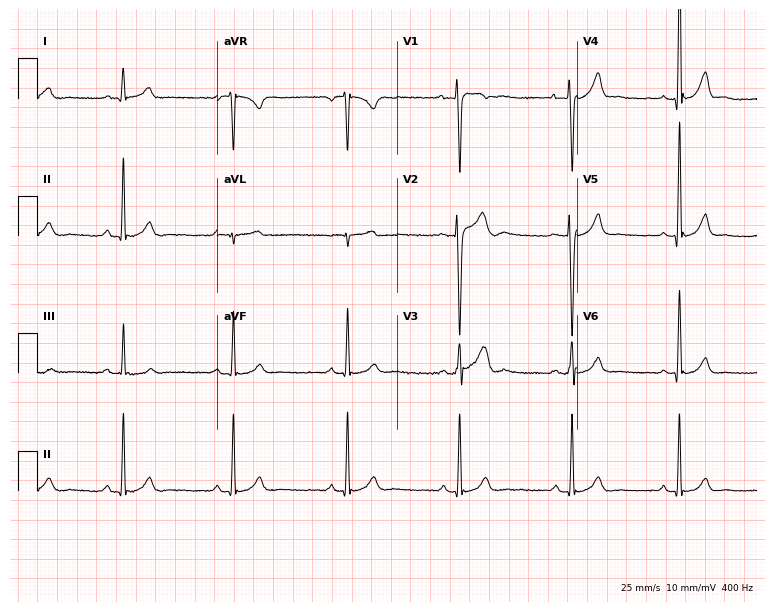
ECG (7.3-second recording at 400 Hz) — a man, 21 years old. Screened for six findings — first-degree AV block, right bundle branch block, left bundle branch block, sinus bradycardia, atrial fibrillation, sinus tachycardia — none is recorded.